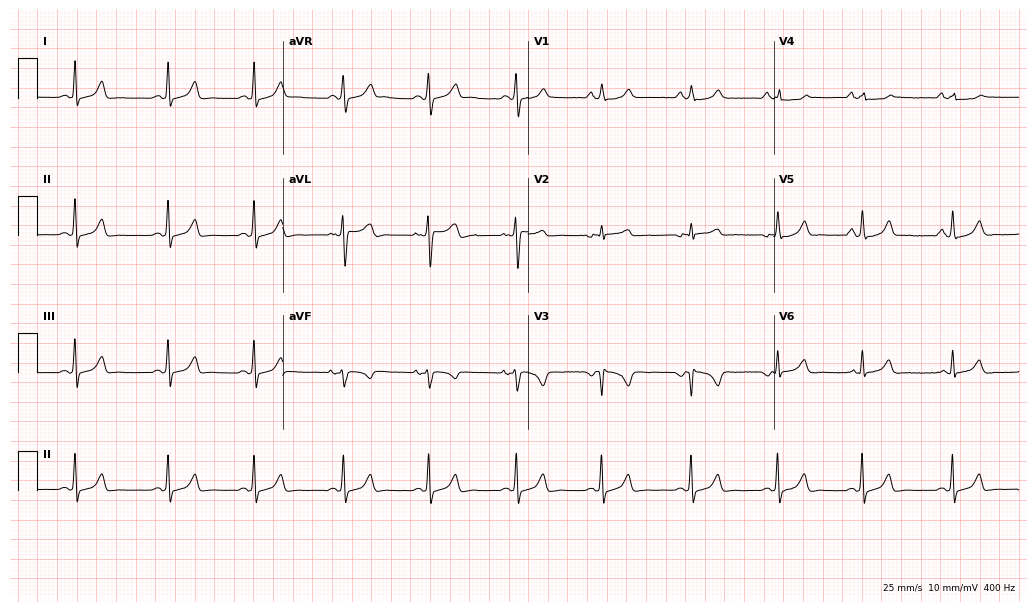
ECG (10-second recording at 400 Hz) — a female, 38 years old. Screened for six findings — first-degree AV block, right bundle branch block (RBBB), left bundle branch block (LBBB), sinus bradycardia, atrial fibrillation (AF), sinus tachycardia — none is recorded.